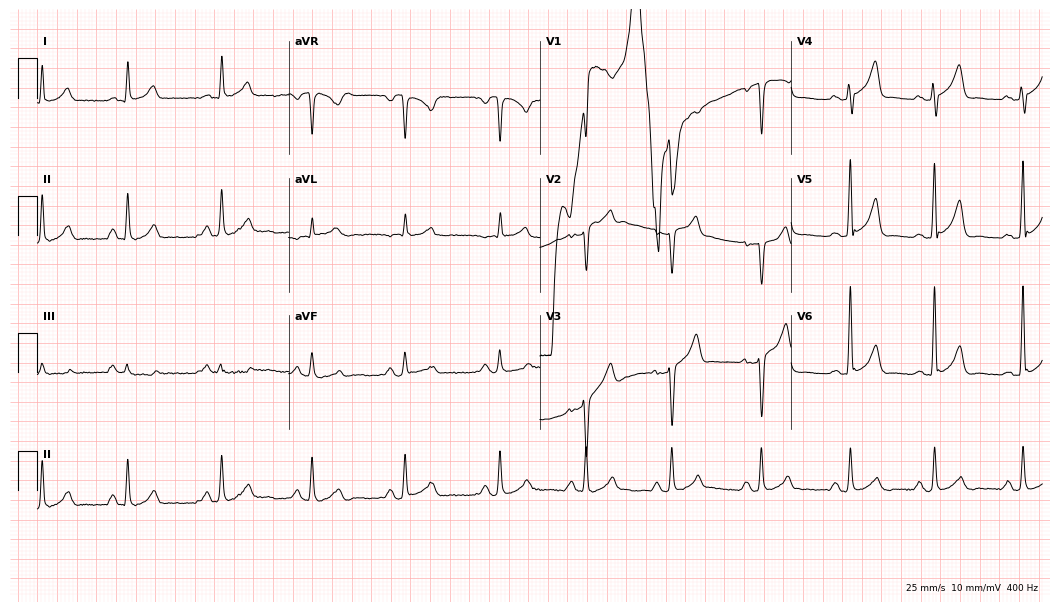
12-lead ECG from a man, 56 years old. Screened for six findings — first-degree AV block, right bundle branch block, left bundle branch block, sinus bradycardia, atrial fibrillation, sinus tachycardia — none is recorded. Findings outside these six are not listed.